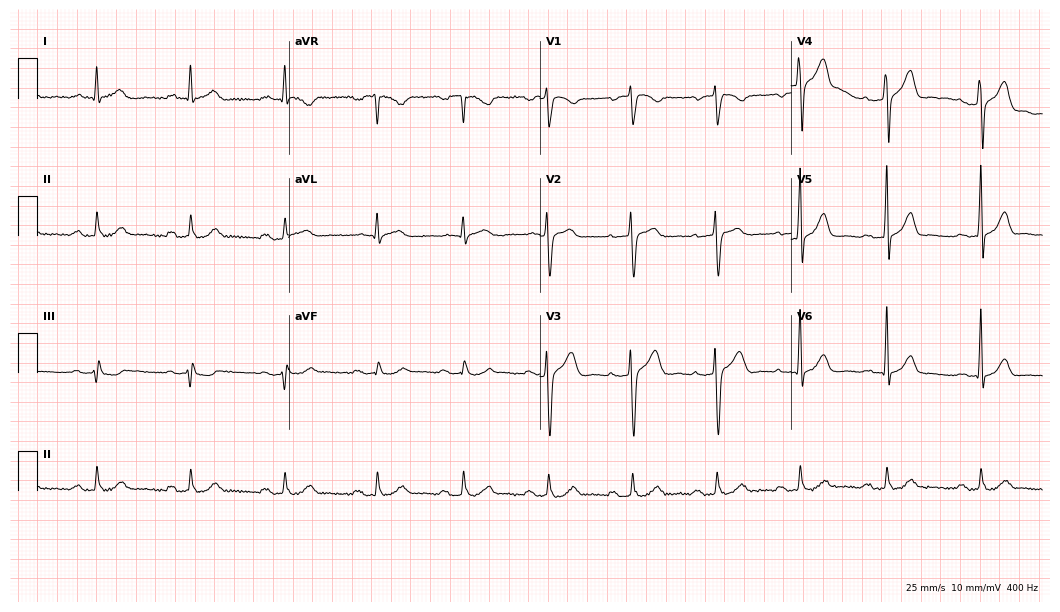
12-lead ECG from a 41-year-old male. Findings include first-degree AV block.